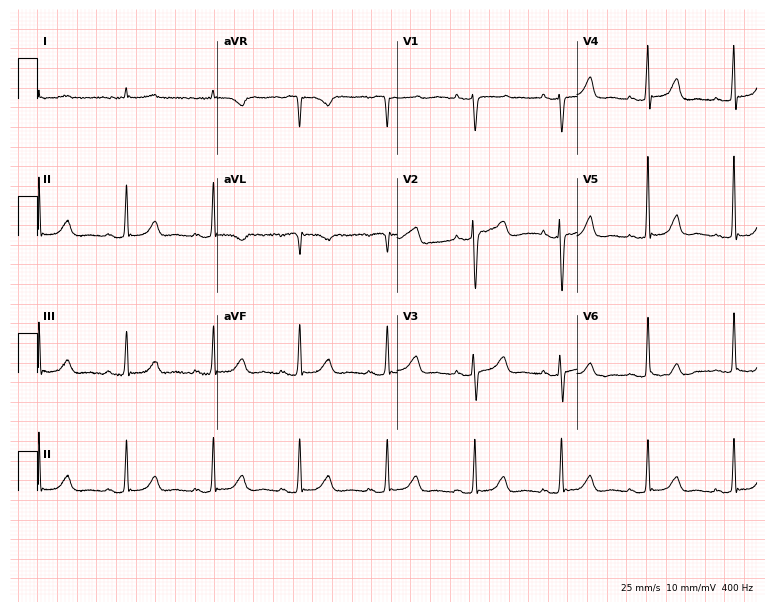
Standard 12-lead ECG recorded from a female patient, 81 years old (7.3-second recording at 400 Hz). None of these six findings is recorded: first-degree AV block, right bundle branch block, left bundle branch block, sinus bradycardia, atrial fibrillation, sinus tachycardia. Only these six findings were labelled.